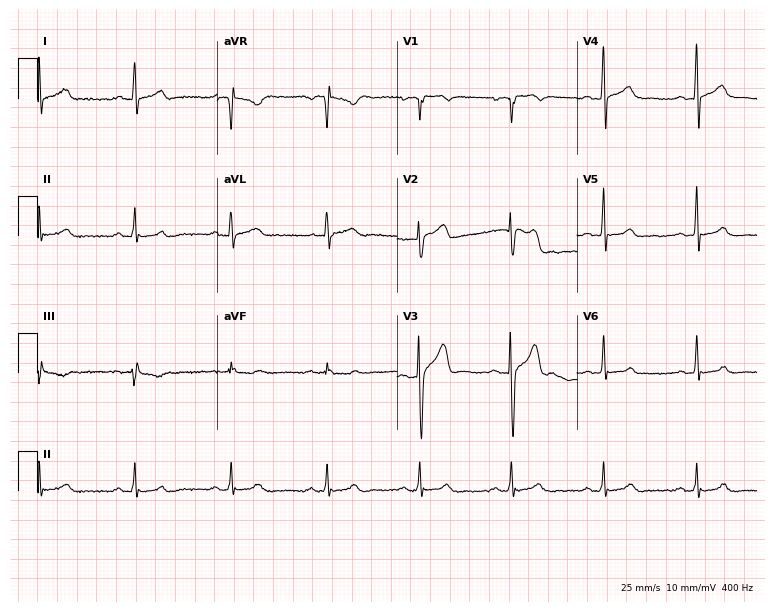
ECG (7.3-second recording at 400 Hz) — a male patient, 25 years old. Screened for six findings — first-degree AV block, right bundle branch block (RBBB), left bundle branch block (LBBB), sinus bradycardia, atrial fibrillation (AF), sinus tachycardia — none is recorded.